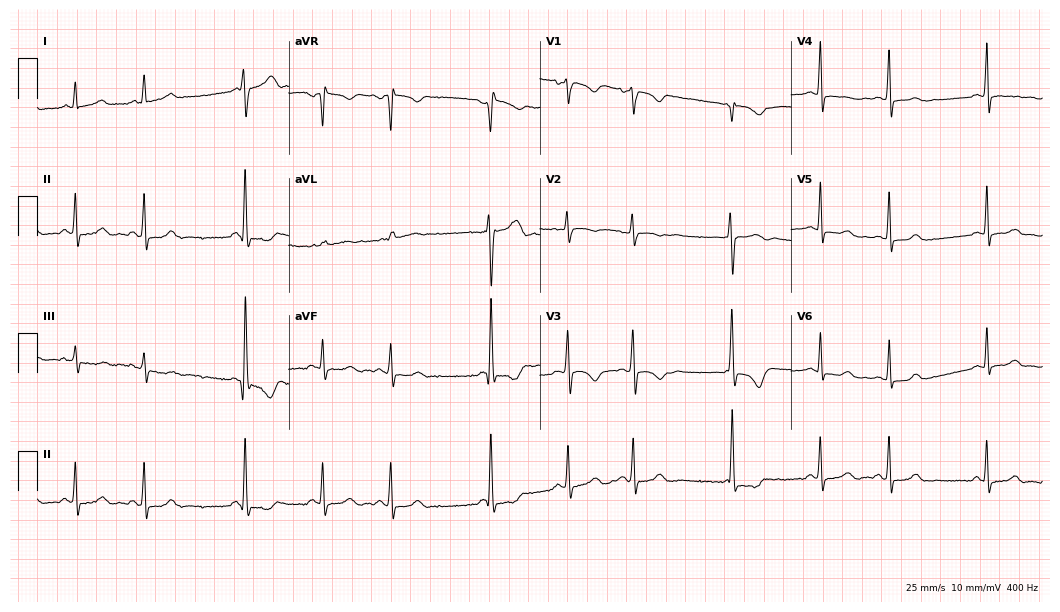
Standard 12-lead ECG recorded from an 18-year-old woman (10.2-second recording at 400 Hz). None of these six findings is recorded: first-degree AV block, right bundle branch block (RBBB), left bundle branch block (LBBB), sinus bradycardia, atrial fibrillation (AF), sinus tachycardia.